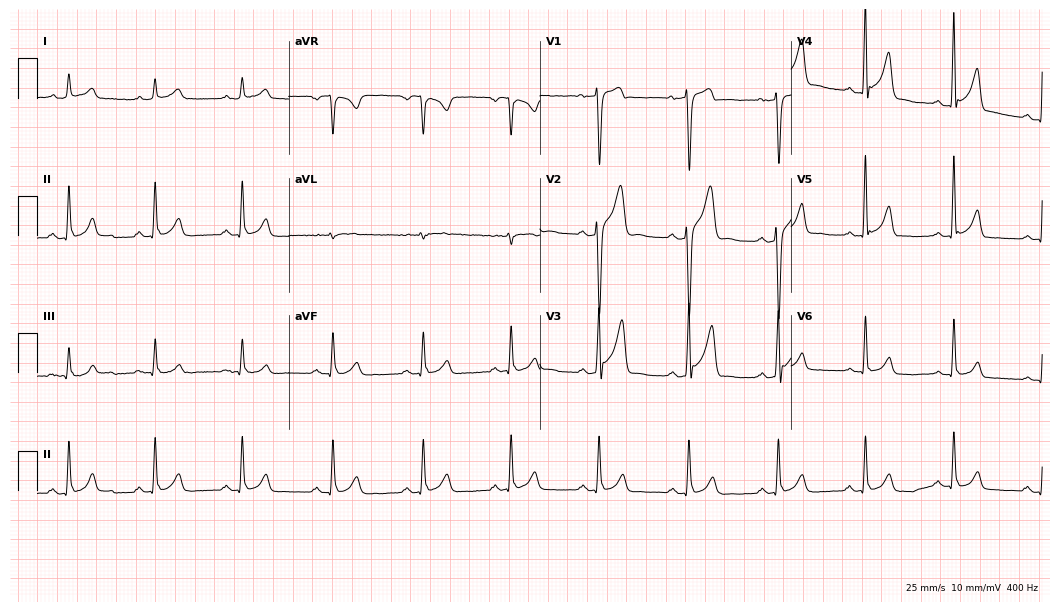
Electrocardiogram, a 57-year-old male. Overall reading on record: normal ECG.